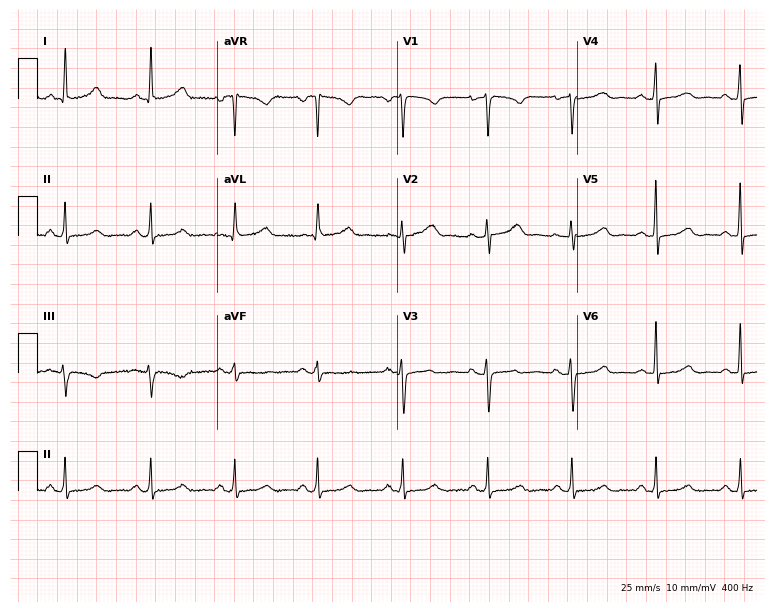
12-lead ECG from a woman, 45 years old. Screened for six findings — first-degree AV block, right bundle branch block (RBBB), left bundle branch block (LBBB), sinus bradycardia, atrial fibrillation (AF), sinus tachycardia — none is recorded. Only these six findings were labelled.